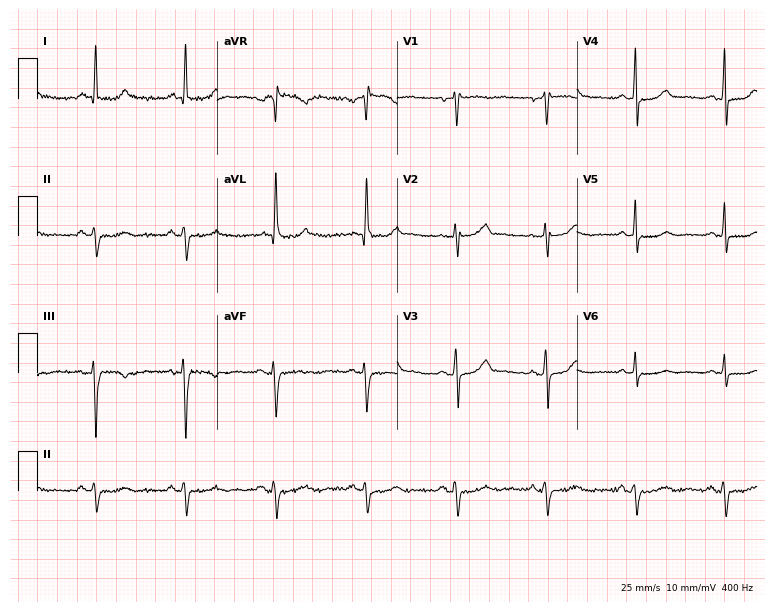
Electrocardiogram, a 62-year-old male. Of the six screened findings (first-degree AV block, right bundle branch block (RBBB), left bundle branch block (LBBB), sinus bradycardia, atrial fibrillation (AF), sinus tachycardia), none is recorded.